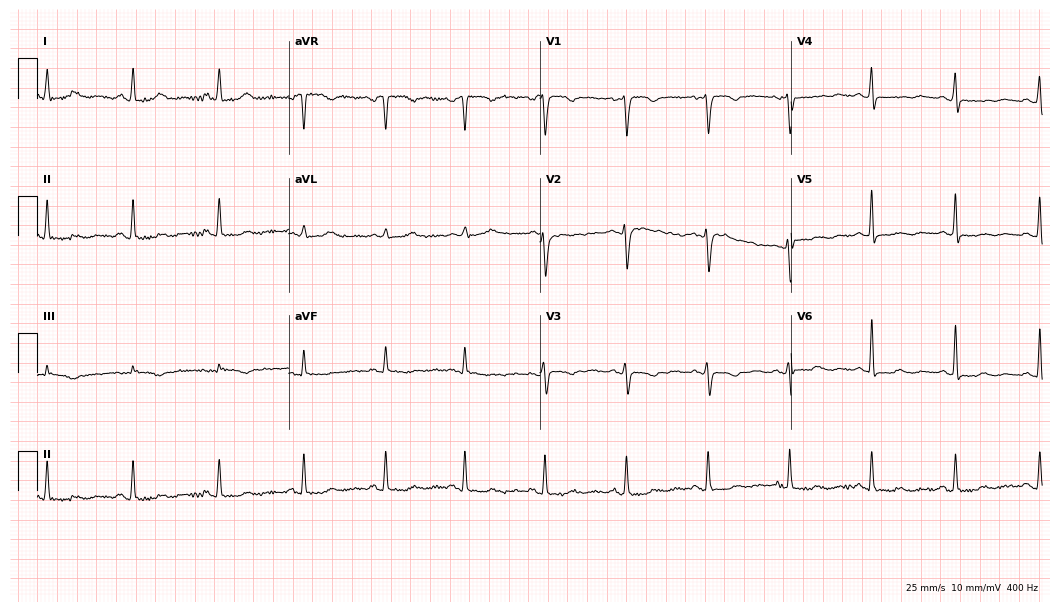
Resting 12-lead electrocardiogram. Patient: a woman, 51 years old. None of these six findings is recorded: first-degree AV block, right bundle branch block, left bundle branch block, sinus bradycardia, atrial fibrillation, sinus tachycardia. Only these six findings were labelled.